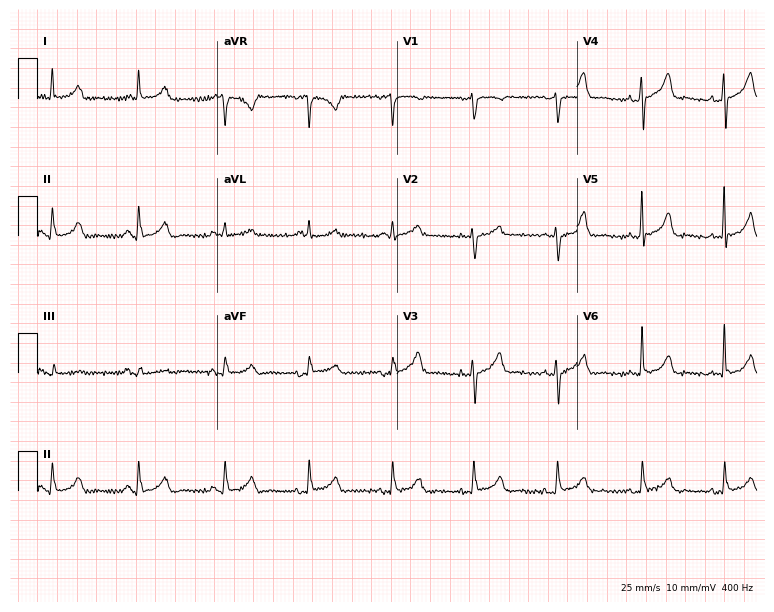
Standard 12-lead ECG recorded from a 74-year-old woman (7.3-second recording at 400 Hz). Read as a normal ECG.